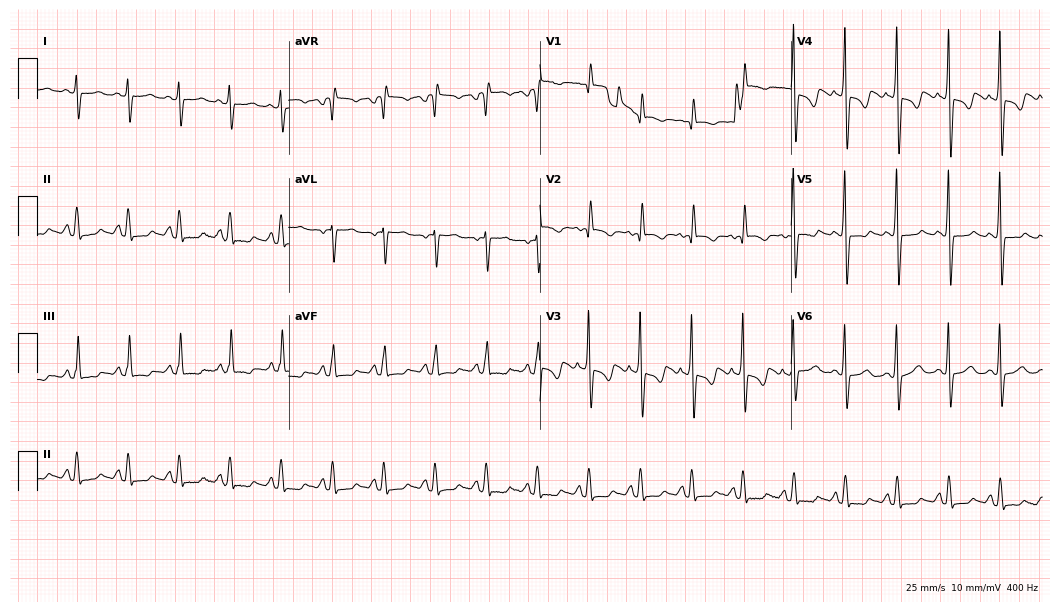
12-lead ECG from a 53-year-old female. Findings include sinus tachycardia (a sinus rate of 100 beats per minute or more).